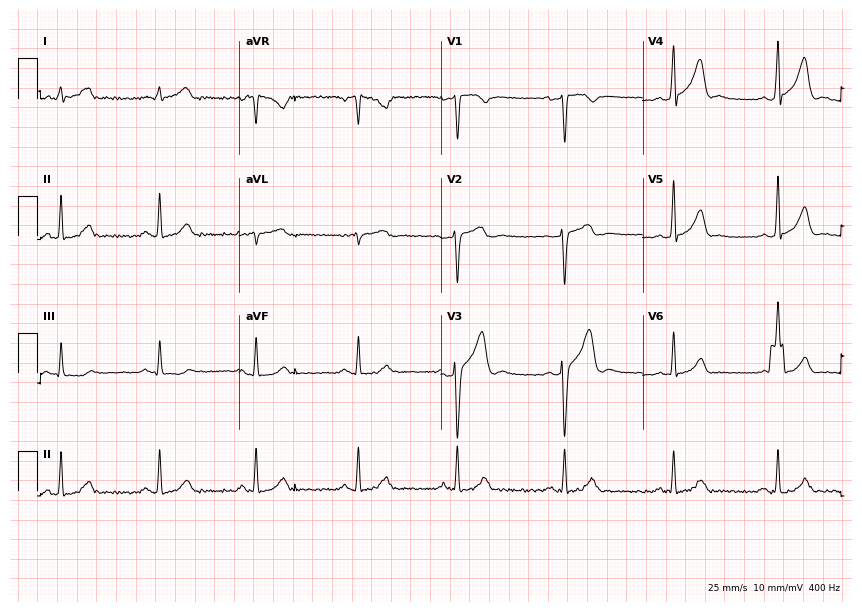
Electrocardiogram (8.2-second recording at 400 Hz), a man, 29 years old. Overall reading on record: normal ECG.